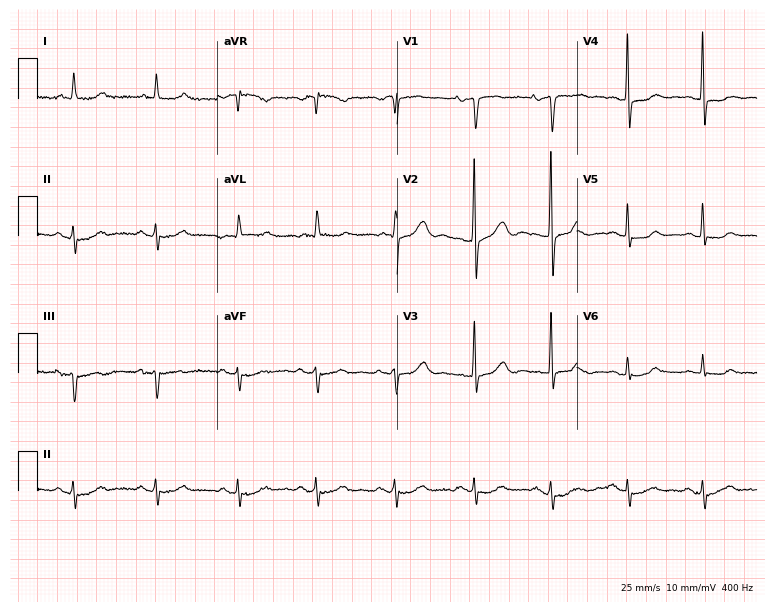
ECG — an 86-year-old female patient. Screened for six findings — first-degree AV block, right bundle branch block (RBBB), left bundle branch block (LBBB), sinus bradycardia, atrial fibrillation (AF), sinus tachycardia — none is recorded.